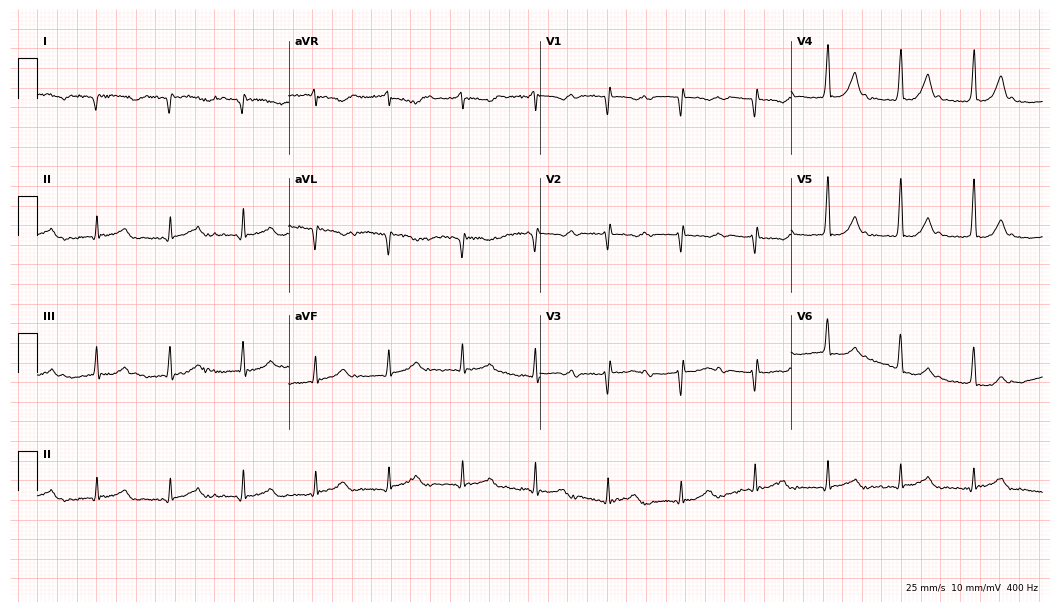
ECG (10.2-second recording at 400 Hz) — a 31-year-old female patient. Screened for six findings — first-degree AV block, right bundle branch block (RBBB), left bundle branch block (LBBB), sinus bradycardia, atrial fibrillation (AF), sinus tachycardia — none is recorded. Only these six findings were labelled.